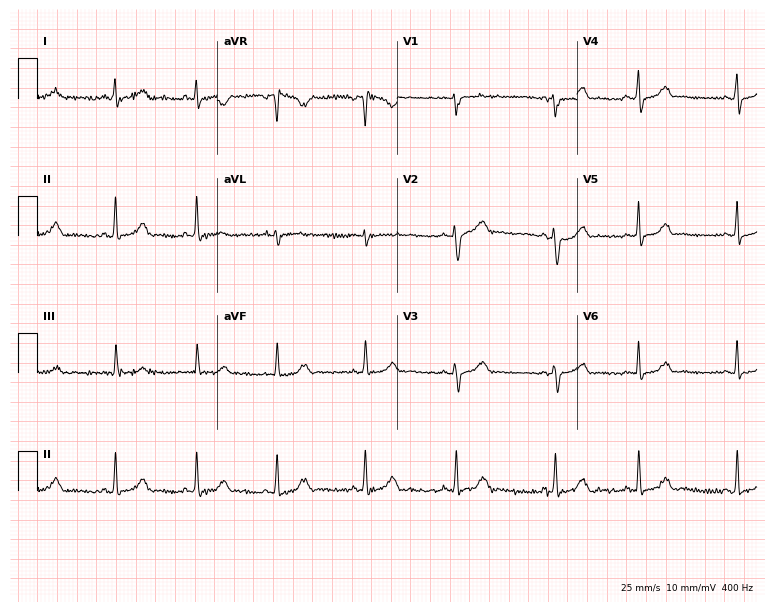
Electrocardiogram, a woman, 22 years old. Overall reading on record: normal ECG.